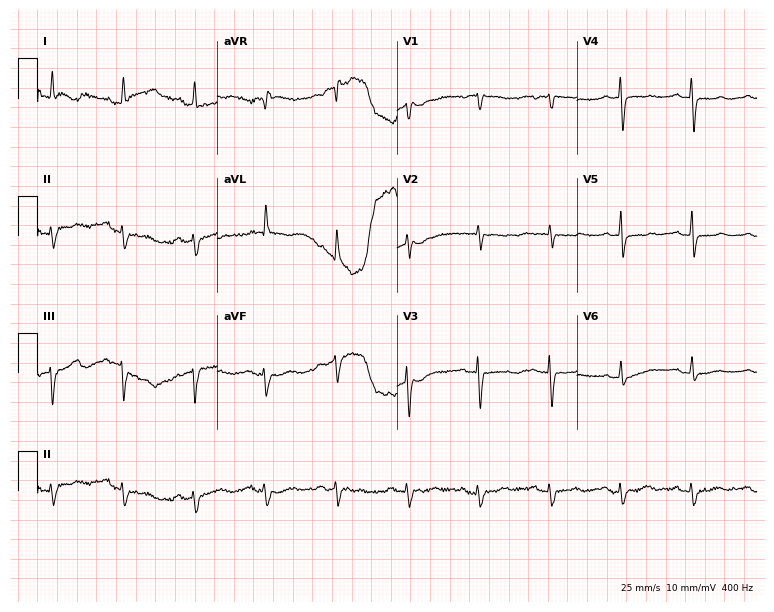
ECG — a woman, 84 years old. Screened for six findings — first-degree AV block, right bundle branch block (RBBB), left bundle branch block (LBBB), sinus bradycardia, atrial fibrillation (AF), sinus tachycardia — none is recorded. Other findings, if any, are not listed.